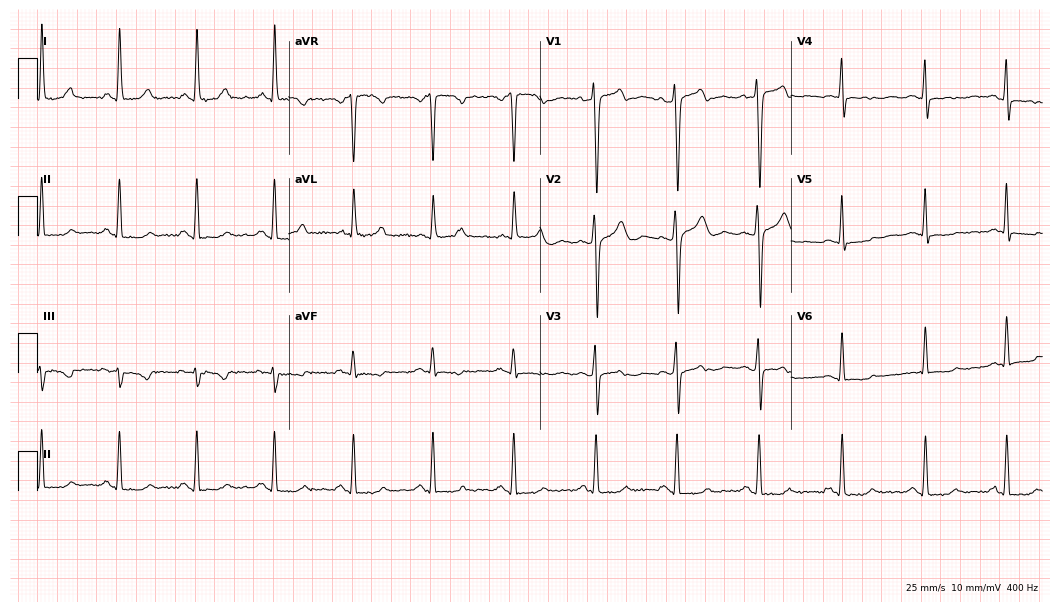
Electrocardiogram, a 41-year-old woman. Of the six screened findings (first-degree AV block, right bundle branch block, left bundle branch block, sinus bradycardia, atrial fibrillation, sinus tachycardia), none is recorded. Only these six findings were labelled.